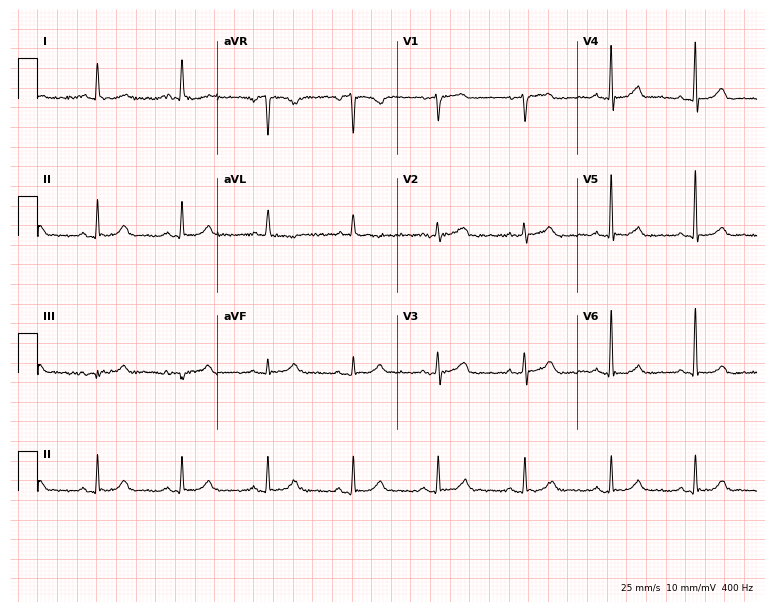
Electrocardiogram (7.3-second recording at 400 Hz), a woman, 68 years old. Overall reading on record: normal ECG.